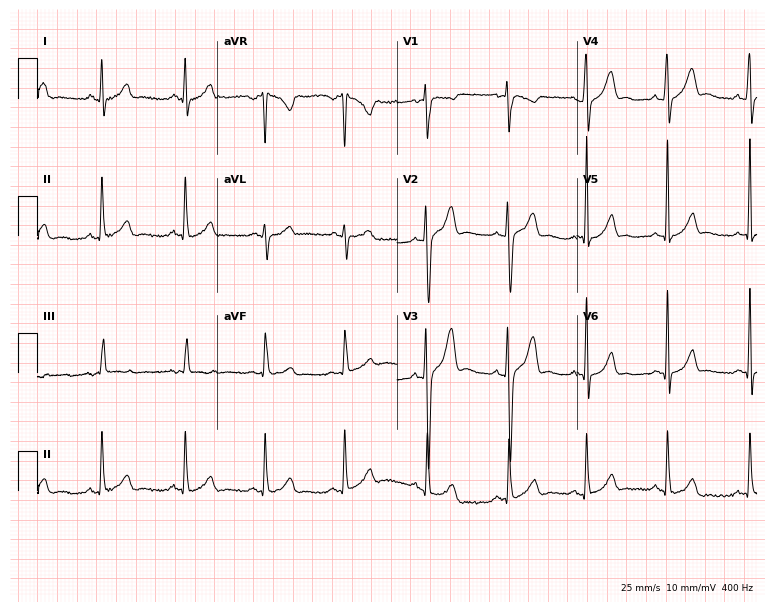
Resting 12-lead electrocardiogram (7.3-second recording at 400 Hz). Patient: a male, 18 years old. Read as a normal ECG.